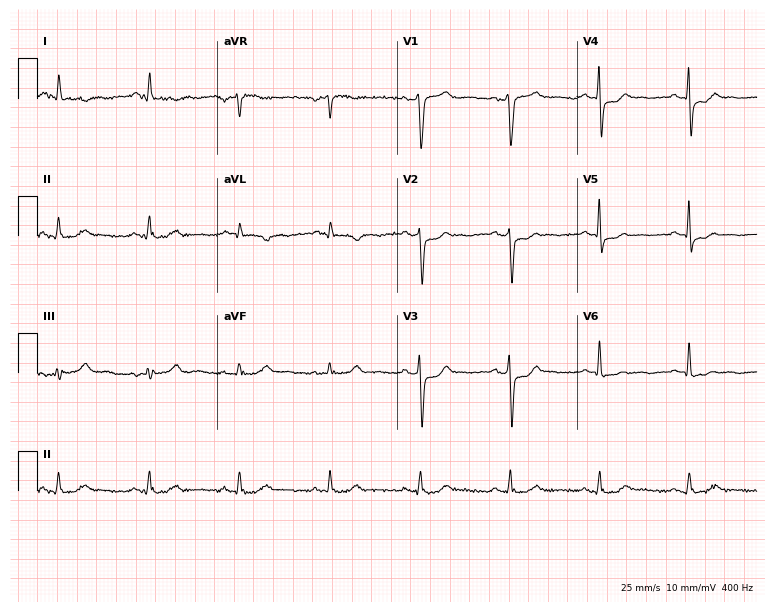
12-lead ECG (7.3-second recording at 400 Hz) from a male, 56 years old. Screened for six findings — first-degree AV block, right bundle branch block, left bundle branch block, sinus bradycardia, atrial fibrillation, sinus tachycardia — none is recorded. Findings outside these six are not listed.